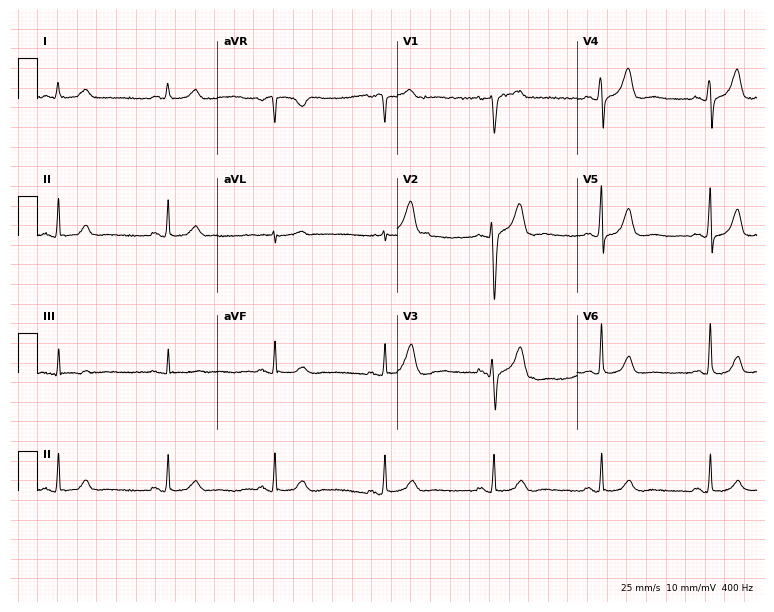
Standard 12-lead ECG recorded from a 67-year-old man (7.3-second recording at 400 Hz). None of these six findings is recorded: first-degree AV block, right bundle branch block, left bundle branch block, sinus bradycardia, atrial fibrillation, sinus tachycardia.